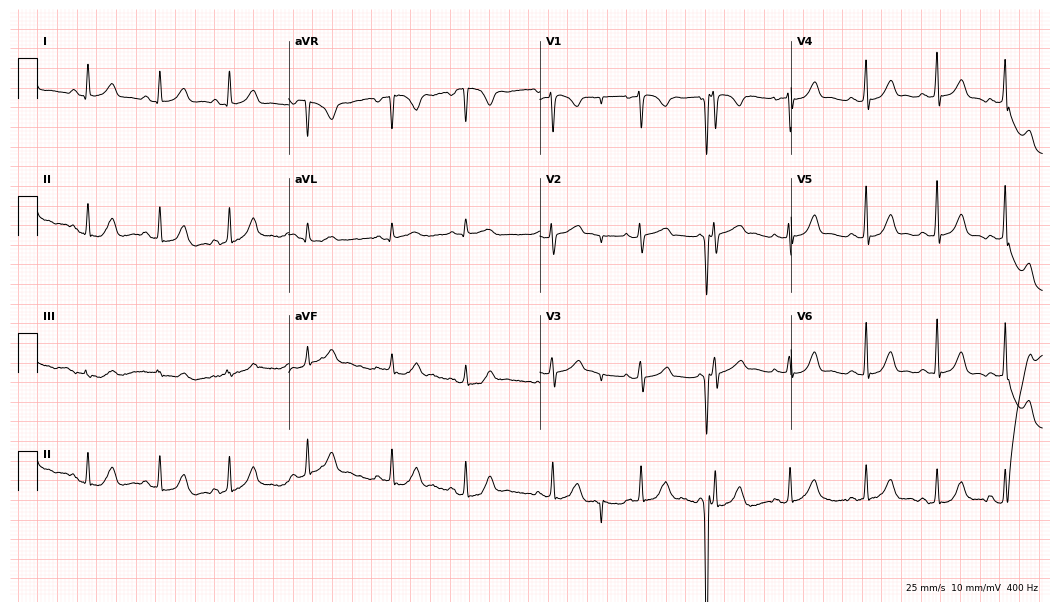
Electrocardiogram (10.2-second recording at 400 Hz), a 24-year-old woman. Overall reading on record: normal ECG.